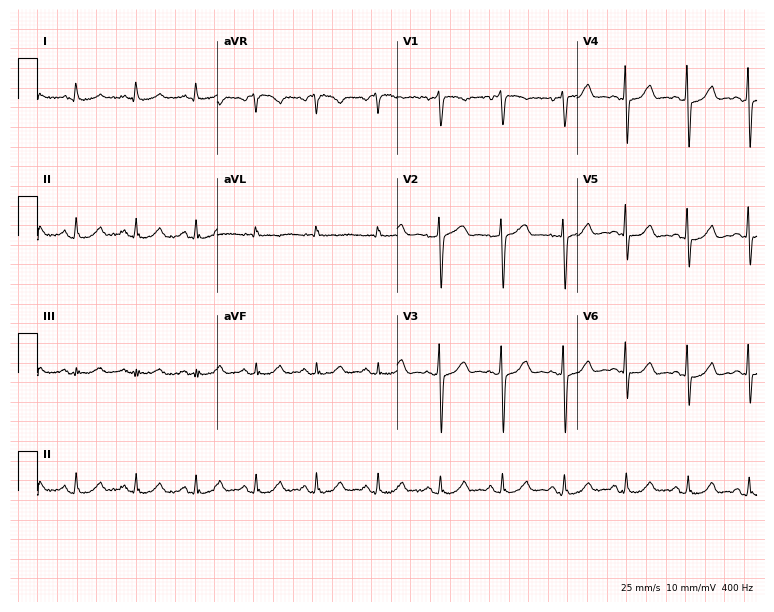
Standard 12-lead ECG recorded from a female patient, 70 years old (7.3-second recording at 400 Hz). Read as a normal ECG.